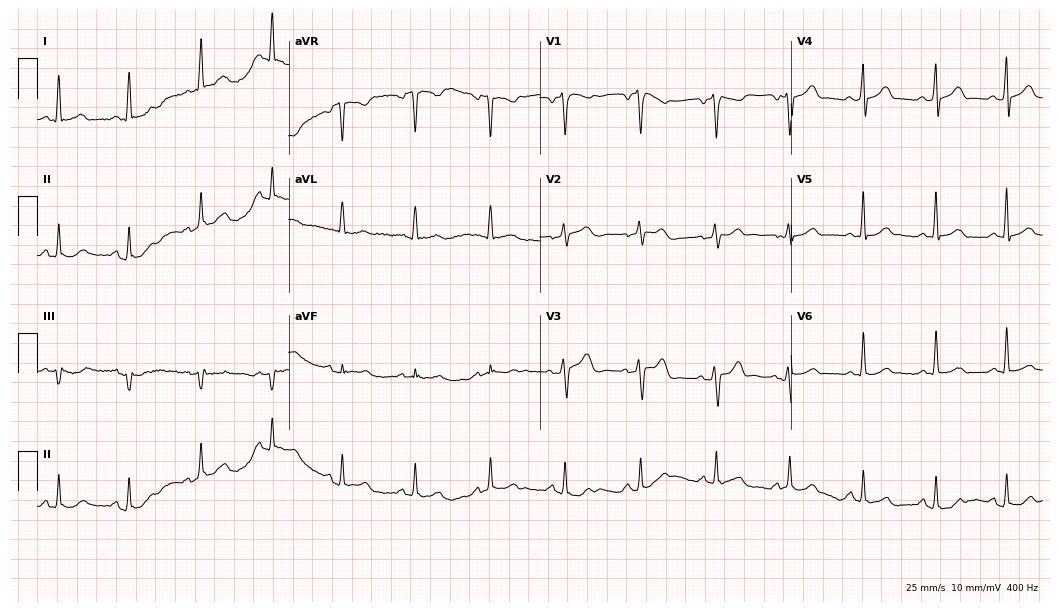
Standard 12-lead ECG recorded from a 45-year-old female patient (10.2-second recording at 400 Hz). Read as a normal ECG.